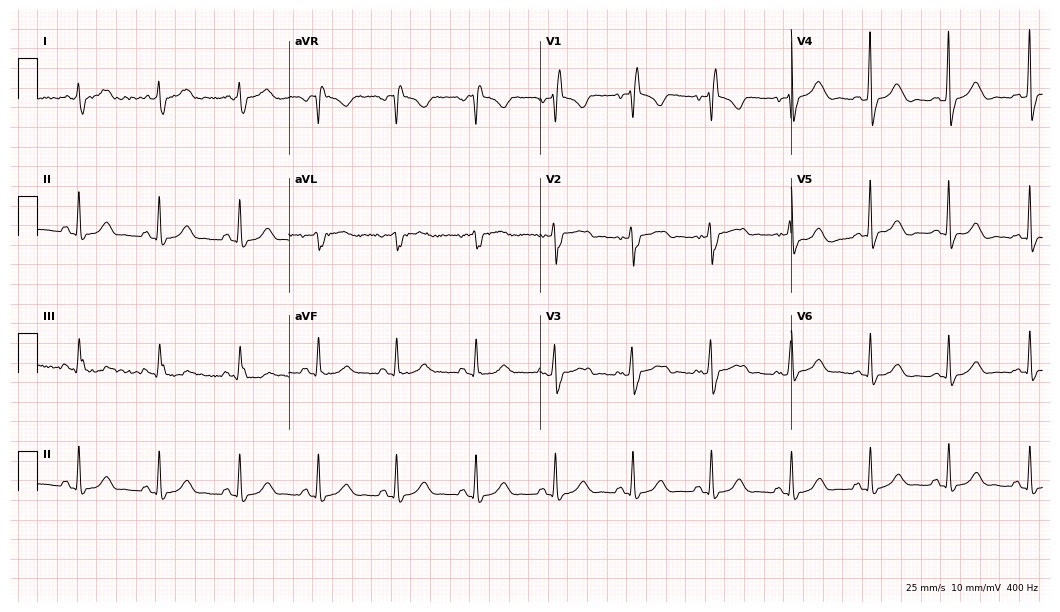
ECG — a 74-year-old woman. Findings include right bundle branch block.